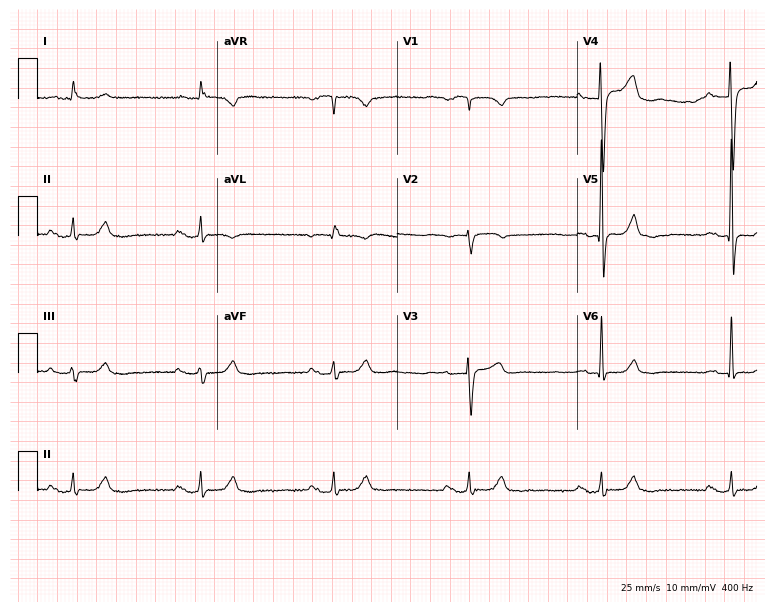
Standard 12-lead ECG recorded from an 81-year-old male (7.3-second recording at 400 Hz). None of these six findings is recorded: first-degree AV block, right bundle branch block (RBBB), left bundle branch block (LBBB), sinus bradycardia, atrial fibrillation (AF), sinus tachycardia.